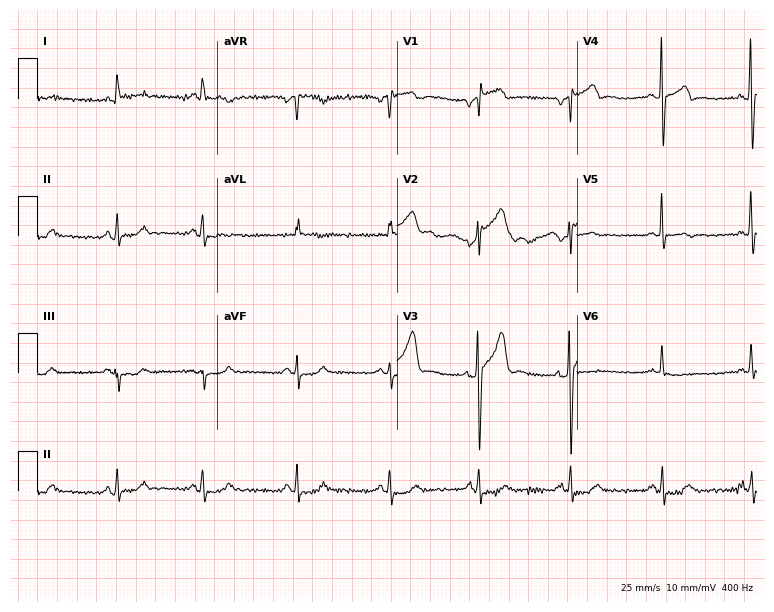
Resting 12-lead electrocardiogram (7.3-second recording at 400 Hz). Patient: a 63-year-old man. None of these six findings is recorded: first-degree AV block, right bundle branch block, left bundle branch block, sinus bradycardia, atrial fibrillation, sinus tachycardia.